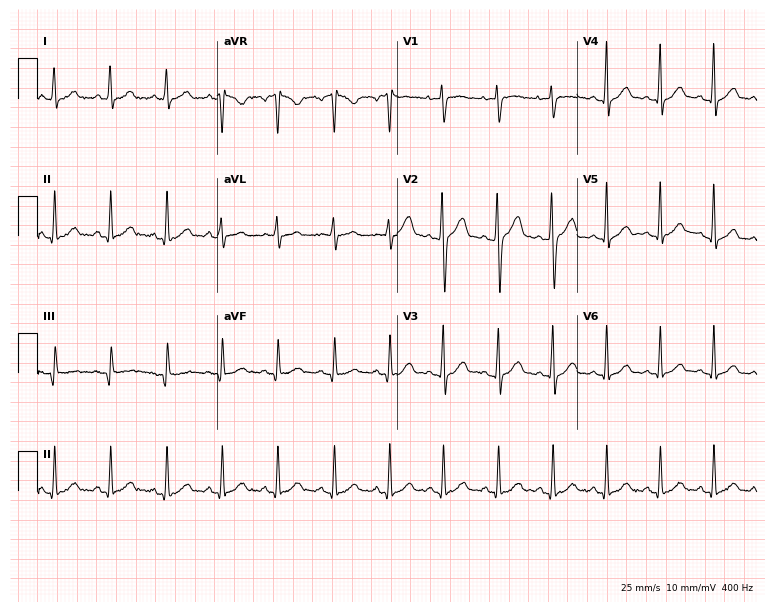
Resting 12-lead electrocardiogram. Patient: a male, 18 years old. None of these six findings is recorded: first-degree AV block, right bundle branch block (RBBB), left bundle branch block (LBBB), sinus bradycardia, atrial fibrillation (AF), sinus tachycardia. Other findings, if any, are not listed.